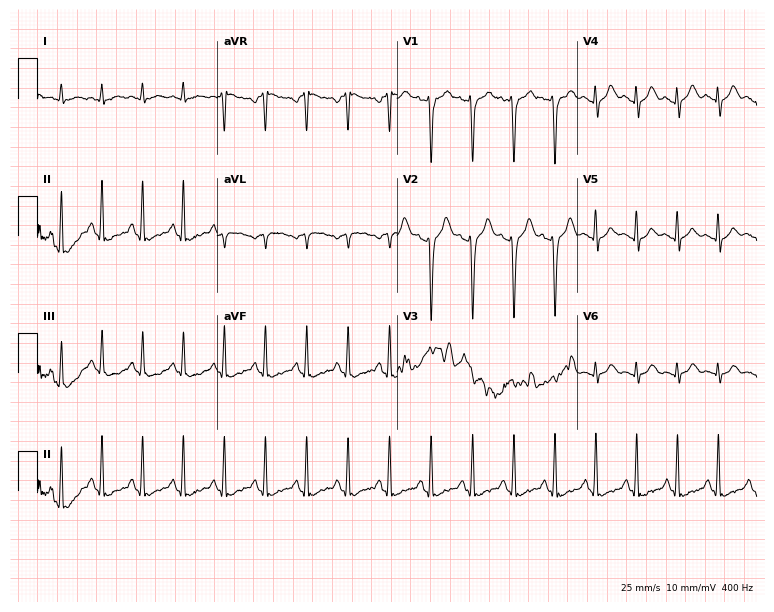
Electrocardiogram, a 36-year-old man. Of the six screened findings (first-degree AV block, right bundle branch block (RBBB), left bundle branch block (LBBB), sinus bradycardia, atrial fibrillation (AF), sinus tachycardia), none is recorded.